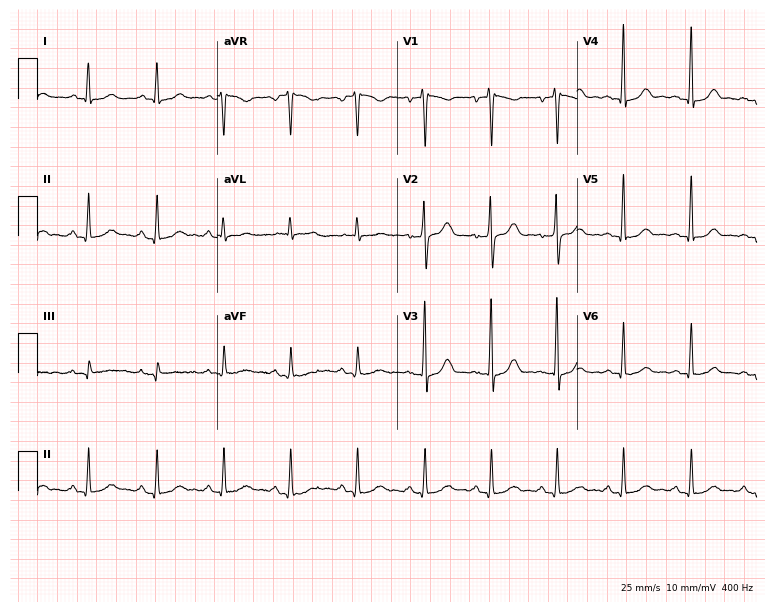
12-lead ECG from a male patient, 36 years old. Labelled as a normal ECG.